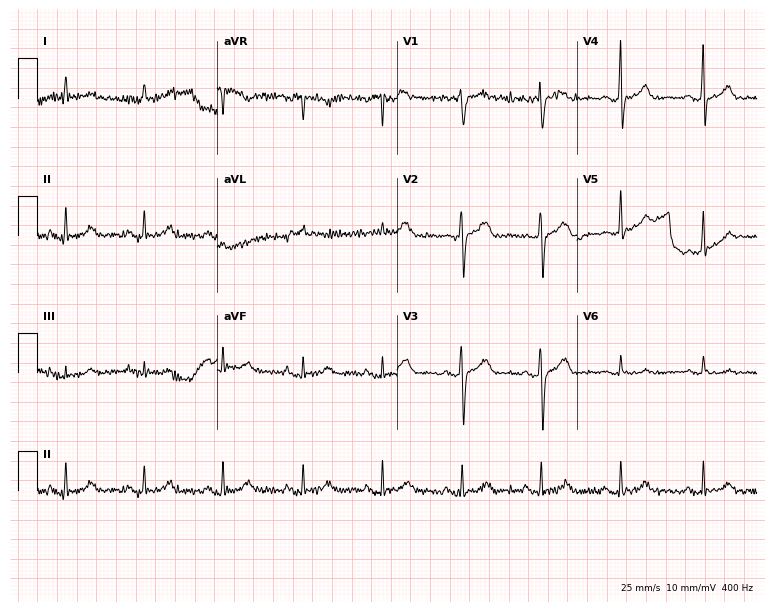
Standard 12-lead ECG recorded from a woman, 83 years old. Read as a normal ECG.